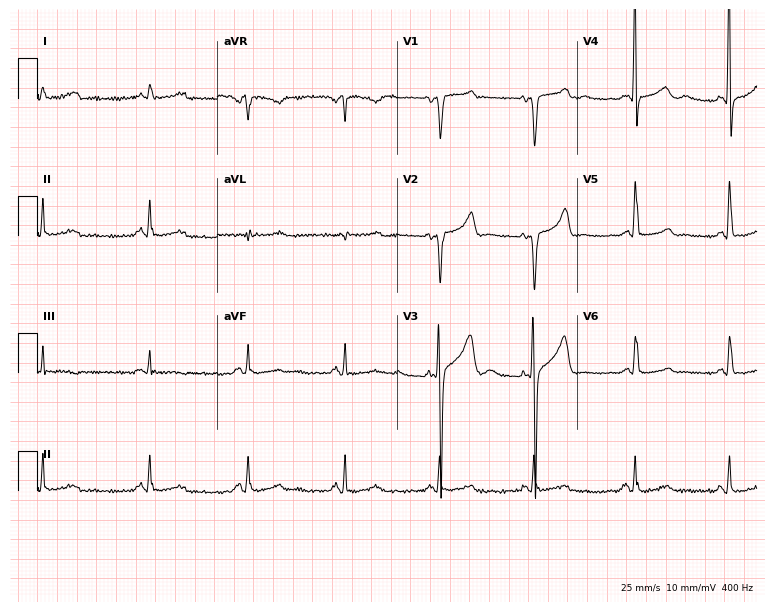
ECG — a male, 51 years old. Labelled as a normal ECG.